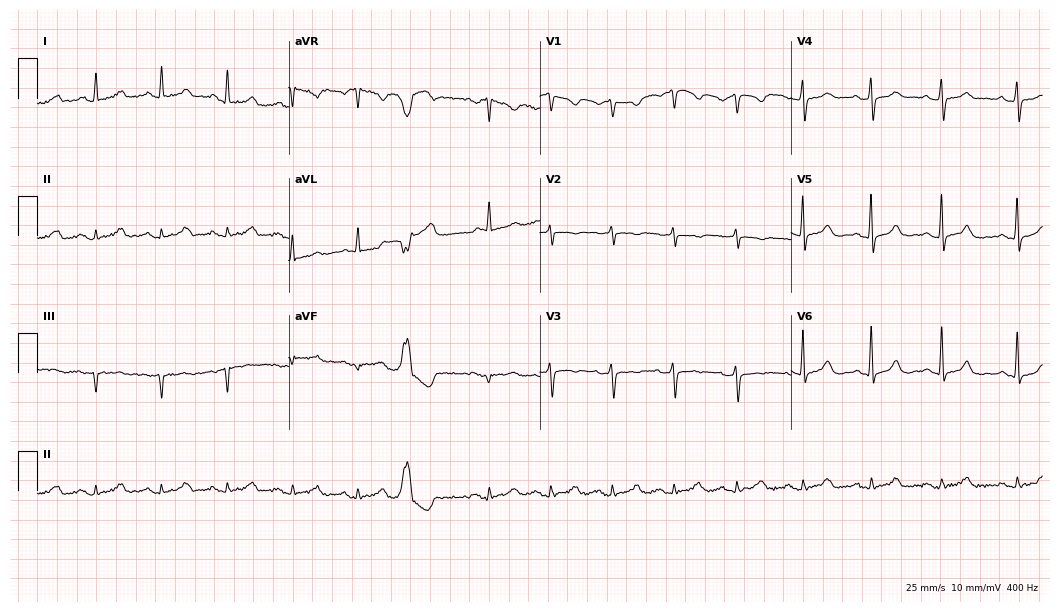
12-lead ECG (10.2-second recording at 400 Hz) from a 49-year-old woman. Labelled as a normal ECG.